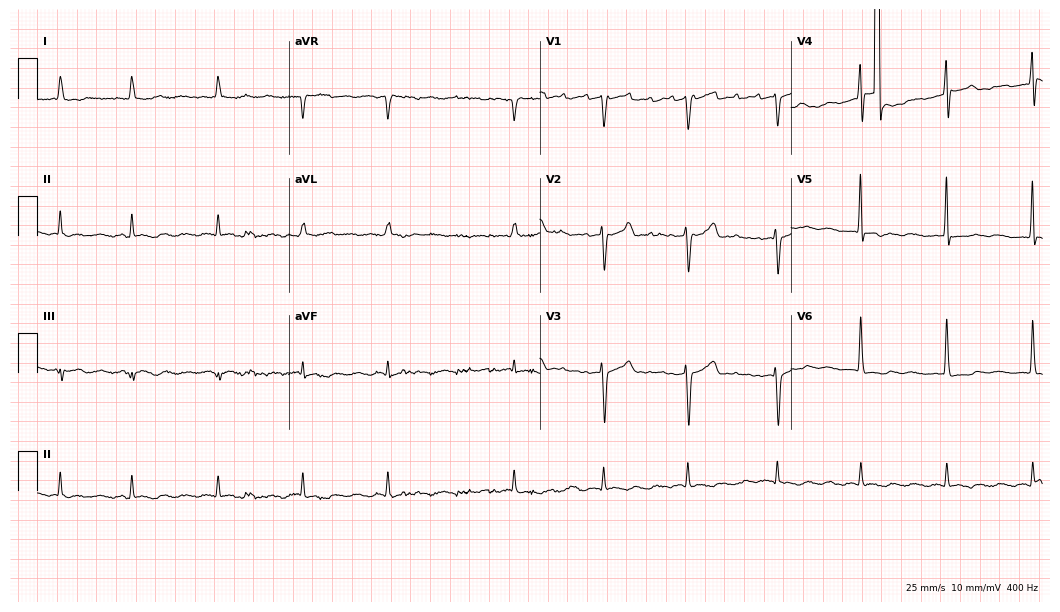
Electrocardiogram (10.2-second recording at 400 Hz), a female, 73 years old. Of the six screened findings (first-degree AV block, right bundle branch block (RBBB), left bundle branch block (LBBB), sinus bradycardia, atrial fibrillation (AF), sinus tachycardia), none is recorded.